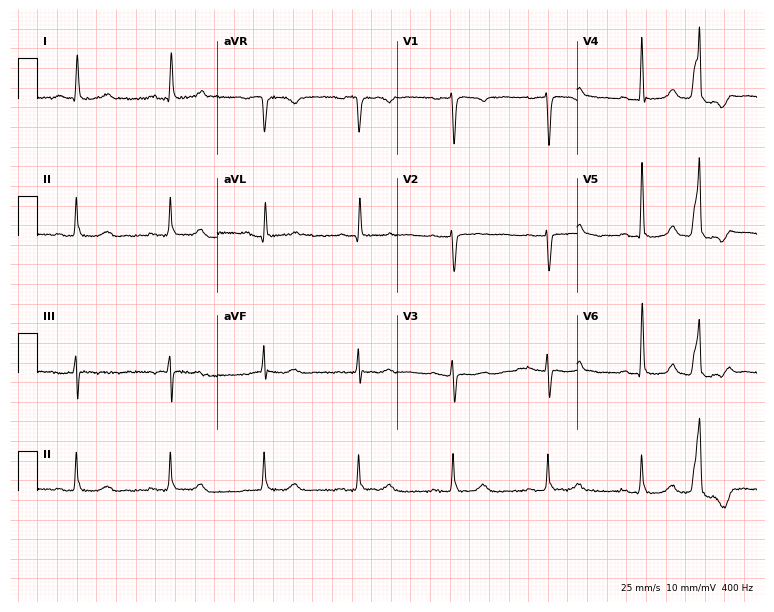
ECG (7.3-second recording at 400 Hz) — a female, 75 years old. Screened for six findings — first-degree AV block, right bundle branch block, left bundle branch block, sinus bradycardia, atrial fibrillation, sinus tachycardia — none is recorded. Other findings, if any, are not listed.